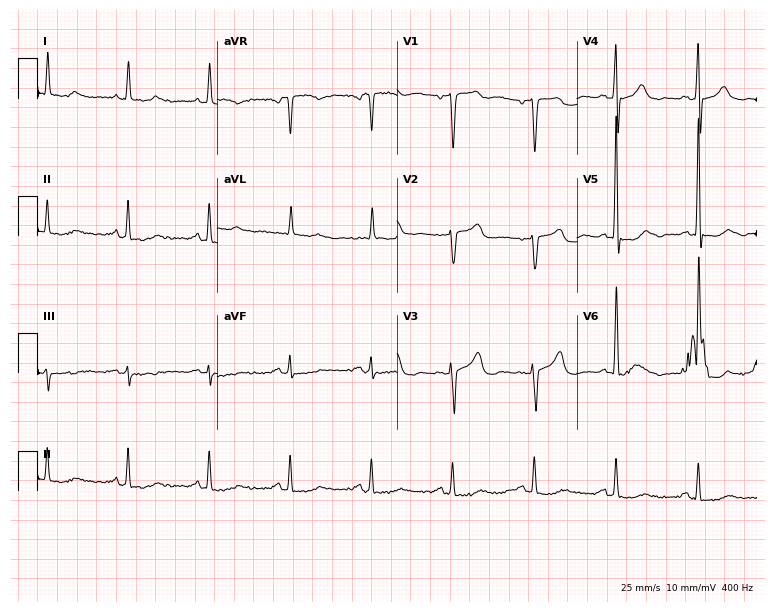
Electrocardiogram (7.3-second recording at 400 Hz), a 78-year-old male patient. Of the six screened findings (first-degree AV block, right bundle branch block, left bundle branch block, sinus bradycardia, atrial fibrillation, sinus tachycardia), none is recorded. Only these six findings were labelled.